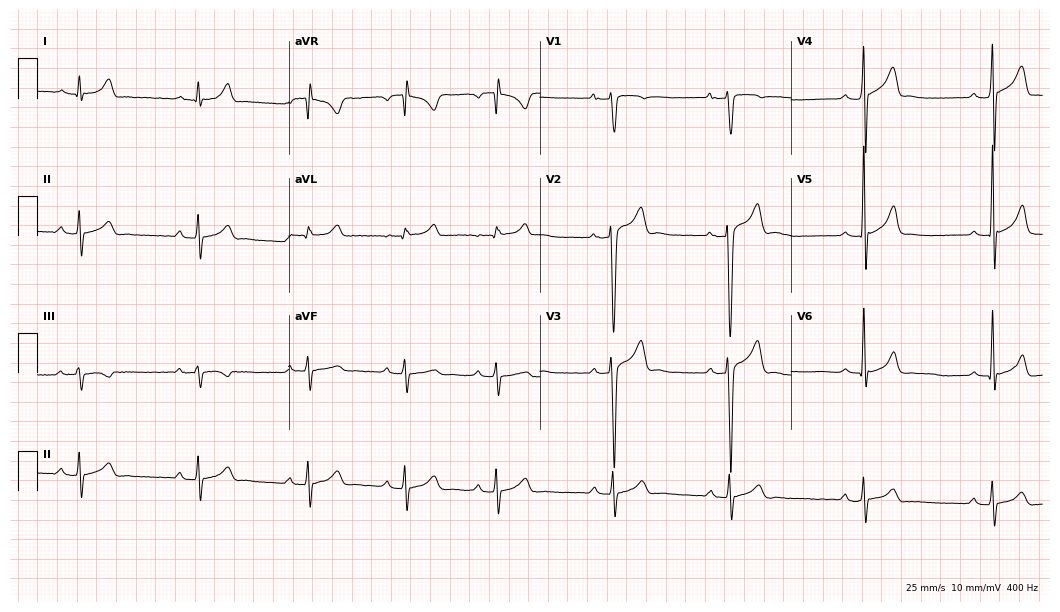
ECG (10.2-second recording at 400 Hz) — a male patient, 23 years old. Screened for six findings — first-degree AV block, right bundle branch block, left bundle branch block, sinus bradycardia, atrial fibrillation, sinus tachycardia — none is recorded. Only these six findings were labelled.